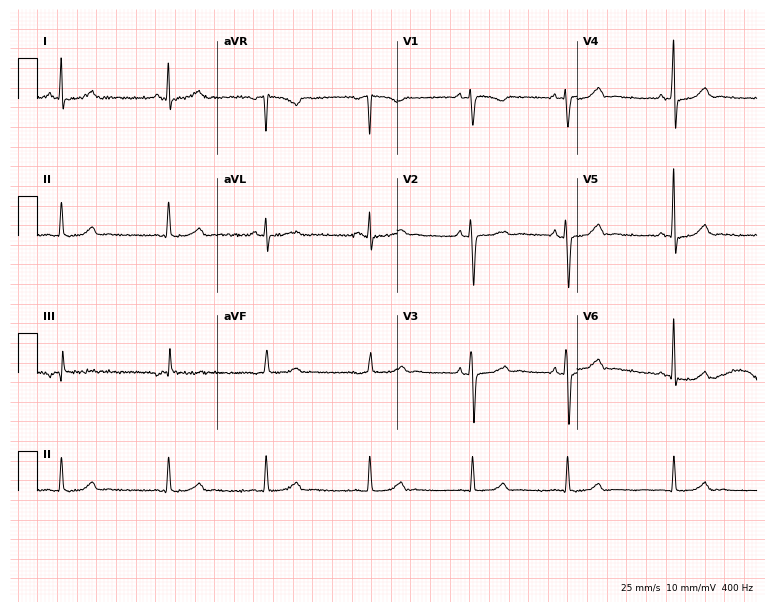
Resting 12-lead electrocardiogram. Patient: a female, 38 years old. Read as a normal ECG.